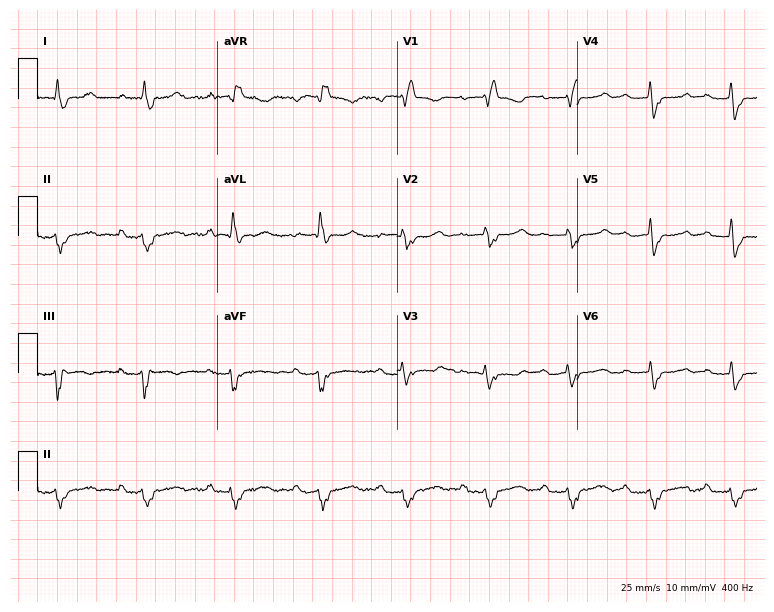
Resting 12-lead electrocardiogram (7.3-second recording at 400 Hz). Patient: a 56-year-old woman. The tracing shows first-degree AV block, right bundle branch block (RBBB).